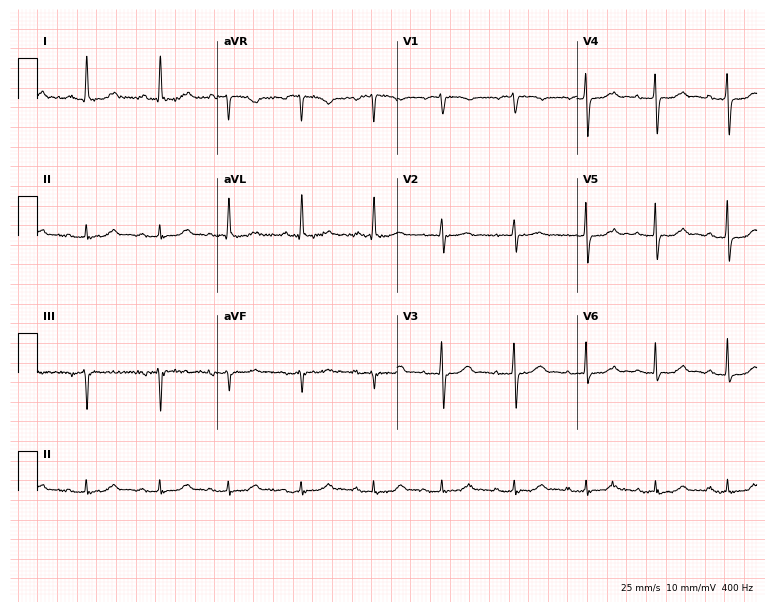
12-lead ECG from an 80-year-old woman. Recorded interpretation: within normal limits.